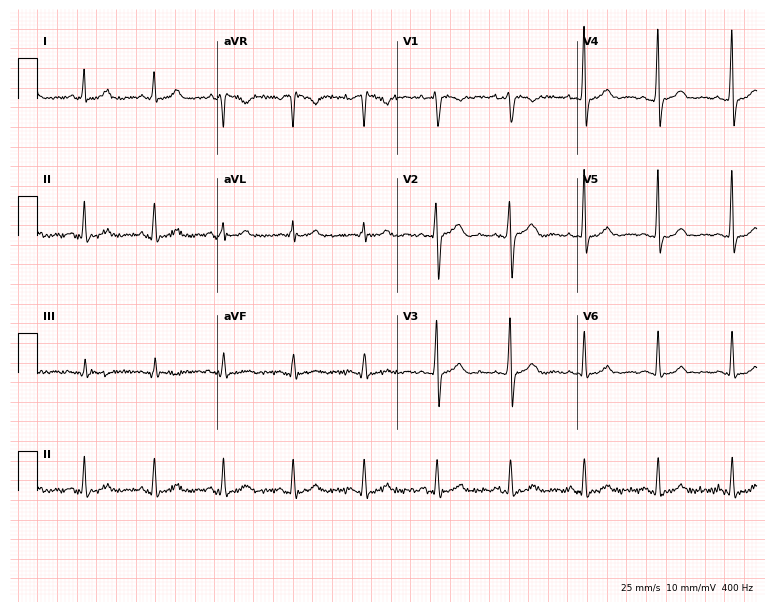
Electrocardiogram, a 34-year-old man. Overall reading on record: normal ECG.